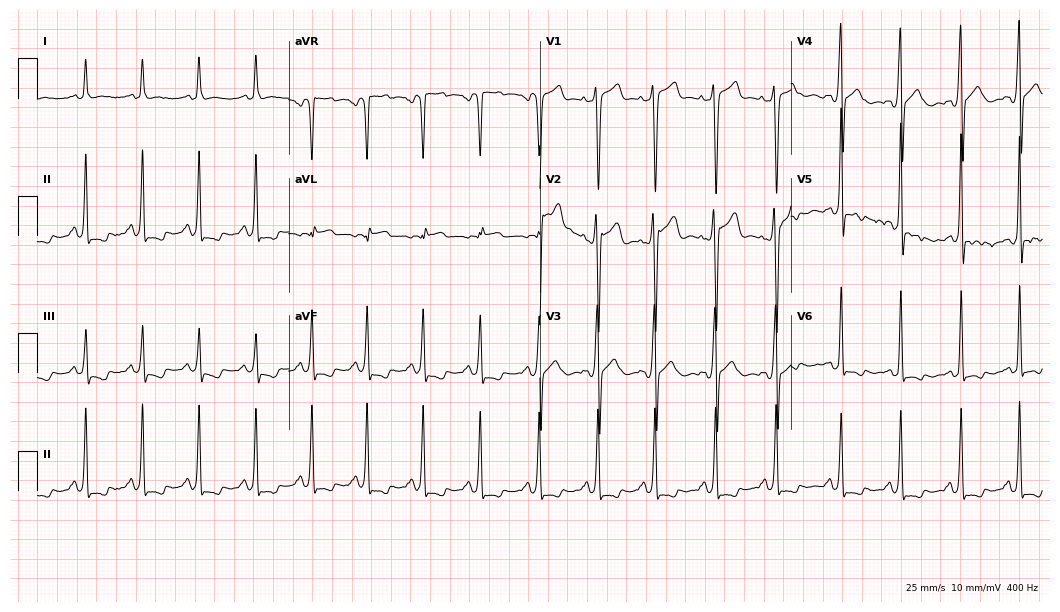
ECG (10.2-second recording at 400 Hz) — a 26-year-old male. Screened for six findings — first-degree AV block, right bundle branch block, left bundle branch block, sinus bradycardia, atrial fibrillation, sinus tachycardia — none is recorded.